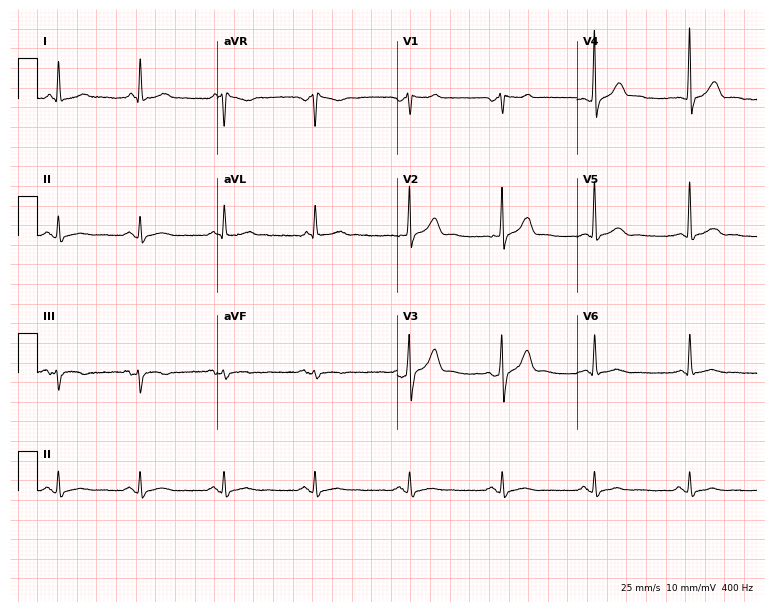
Resting 12-lead electrocardiogram. Patient: a man, 52 years old. None of these six findings is recorded: first-degree AV block, right bundle branch block, left bundle branch block, sinus bradycardia, atrial fibrillation, sinus tachycardia.